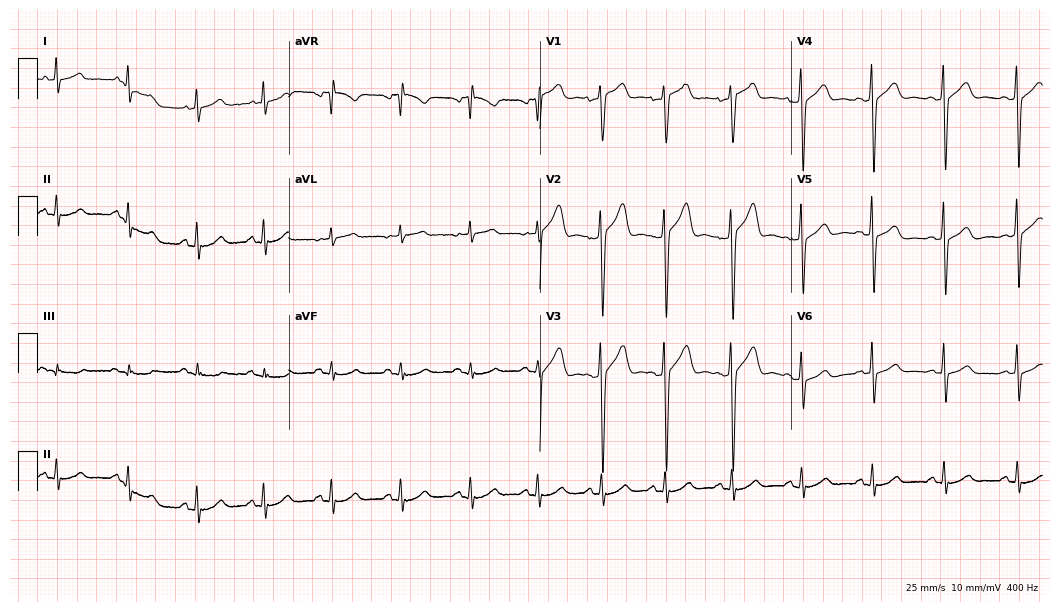
12-lead ECG (10.2-second recording at 400 Hz) from a 44-year-old man. Screened for six findings — first-degree AV block, right bundle branch block, left bundle branch block, sinus bradycardia, atrial fibrillation, sinus tachycardia — none is recorded.